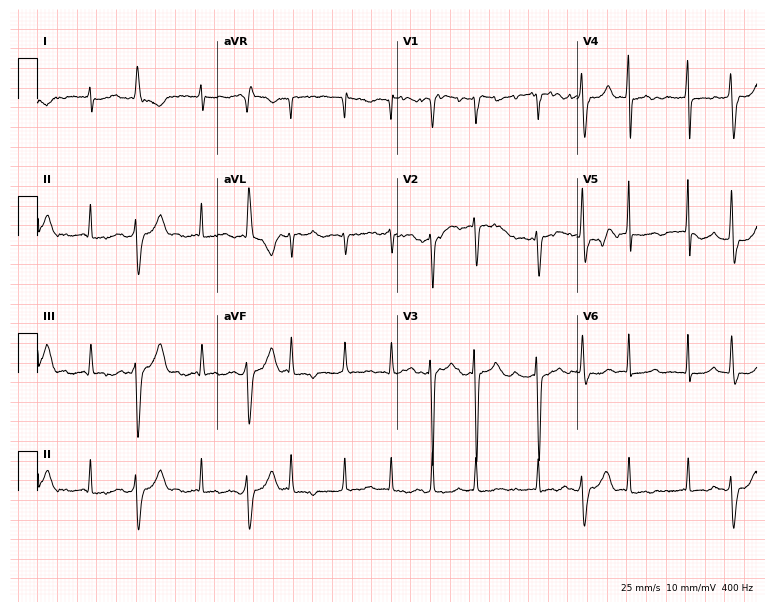
12-lead ECG from a 75-year-old male. Shows atrial fibrillation.